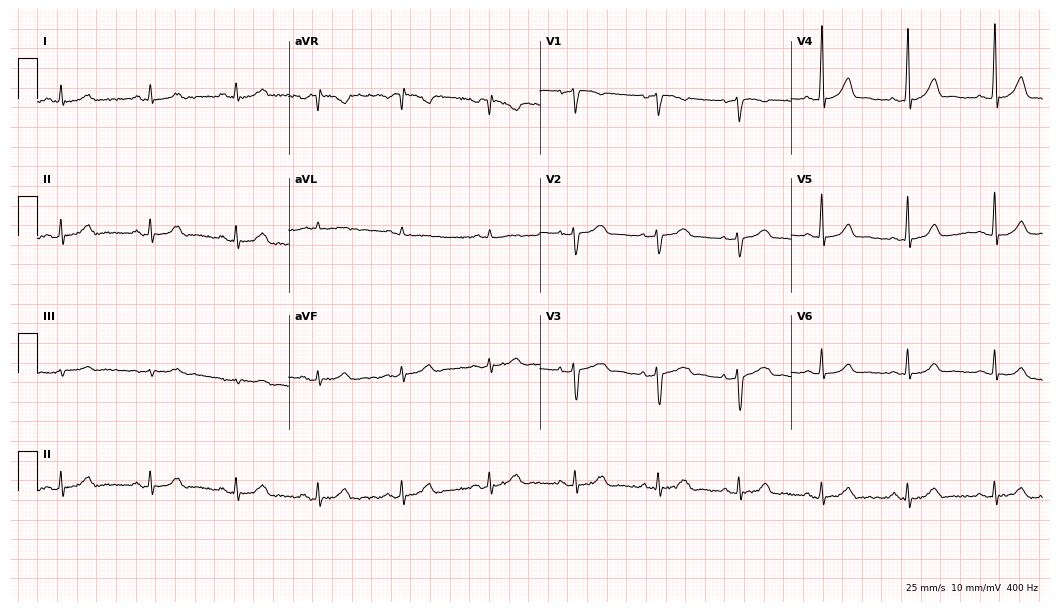
Standard 12-lead ECG recorded from a 41-year-old female (10.2-second recording at 400 Hz). Read as a normal ECG.